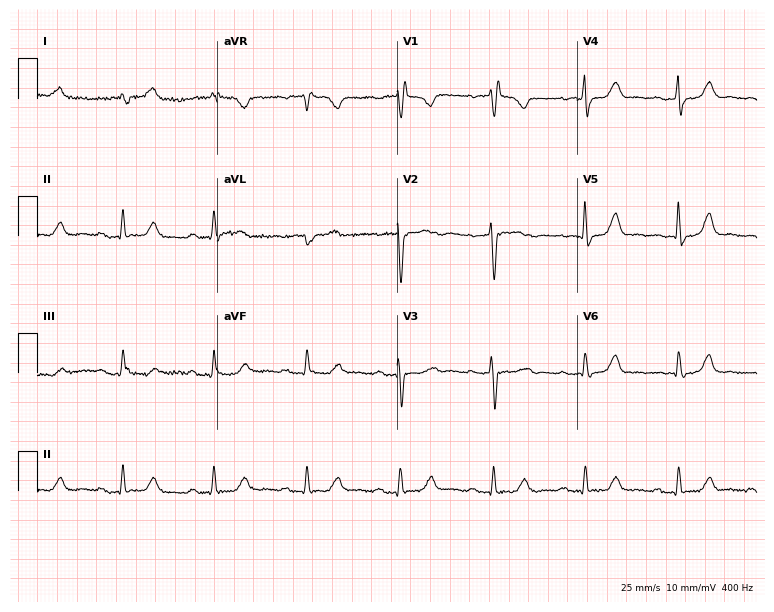
12-lead ECG from an 82-year-old female patient. Findings include first-degree AV block, right bundle branch block (RBBB).